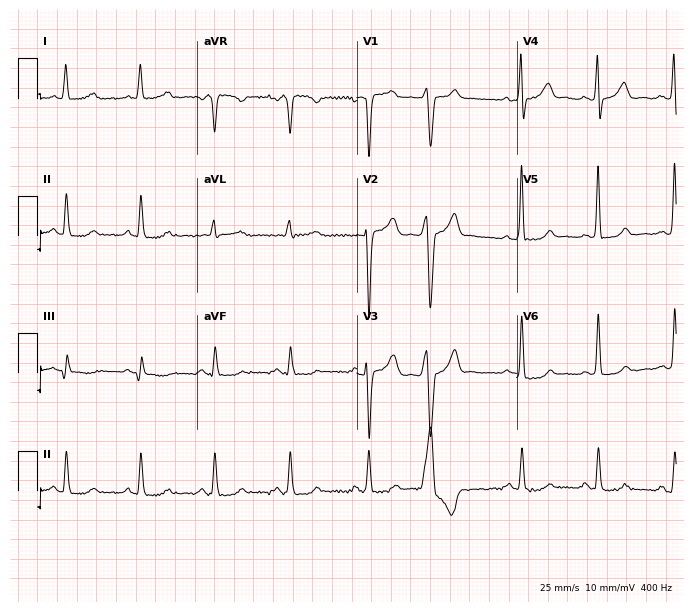
Electrocardiogram (6.5-second recording at 400 Hz), a male, 68 years old. Of the six screened findings (first-degree AV block, right bundle branch block, left bundle branch block, sinus bradycardia, atrial fibrillation, sinus tachycardia), none is recorded. Other findings, if any, are not listed.